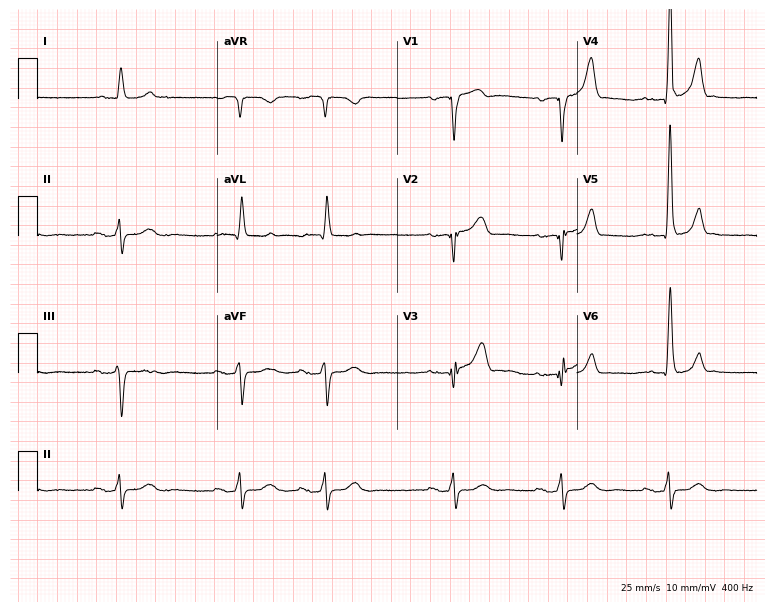
Electrocardiogram, an 86-year-old male. Interpretation includes first-degree AV block.